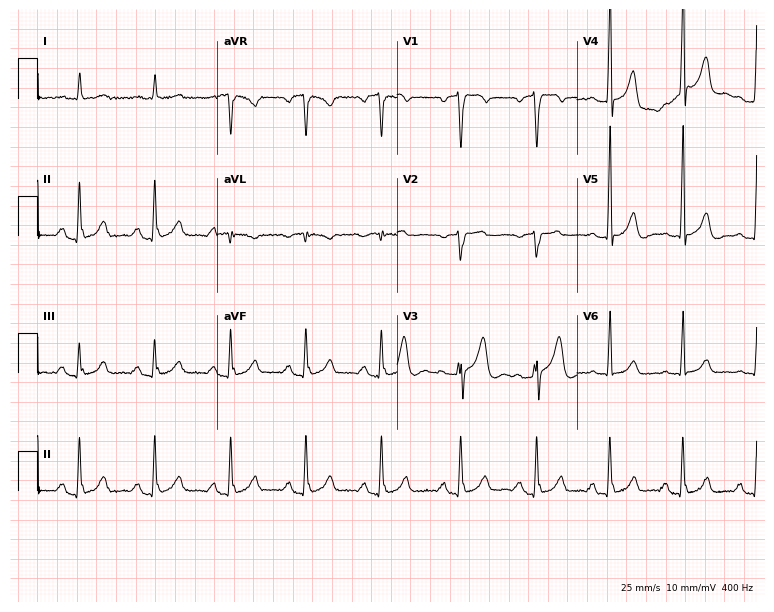
12-lead ECG from a man, 54 years old (7.3-second recording at 400 Hz). Recorded interpretation: within normal limits.